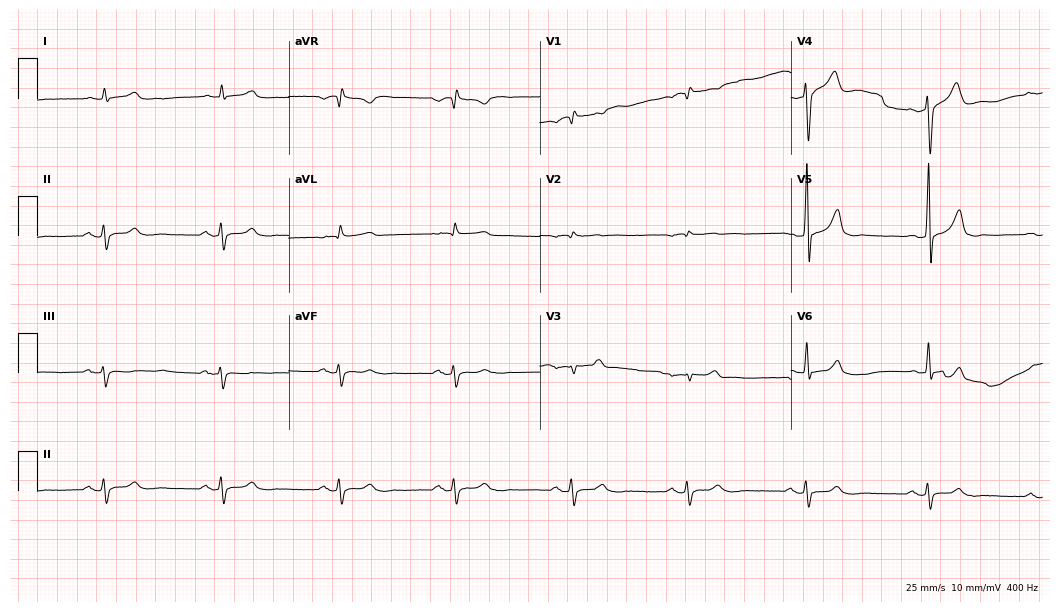
Electrocardiogram, a male patient, 57 years old. Interpretation includes sinus bradycardia (a sinus rate of 50 beats per minute or less).